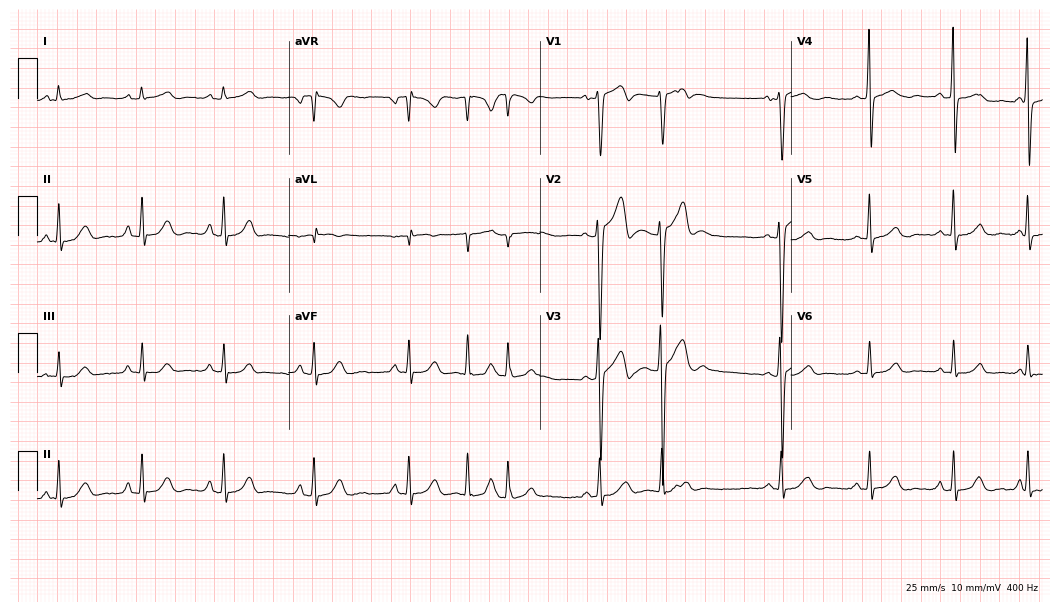
12-lead ECG from a male, 24 years old. Screened for six findings — first-degree AV block, right bundle branch block (RBBB), left bundle branch block (LBBB), sinus bradycardia, atrial fibrillation (AF), sinus tachycardia — none is recorded. Other findings, if any, are not listed.